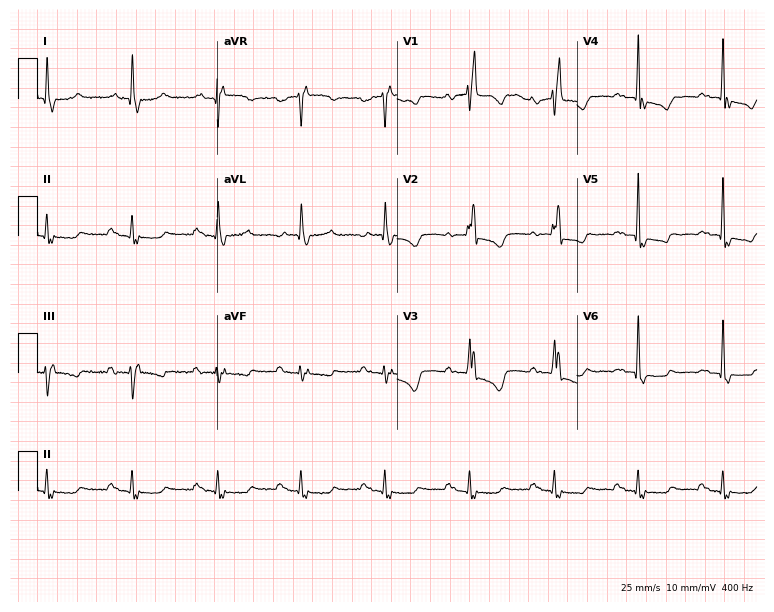
Standard 12-lead ECG recorded from a female, 77 years old. The tracing shows first-degree AV block, right bundle branch block.